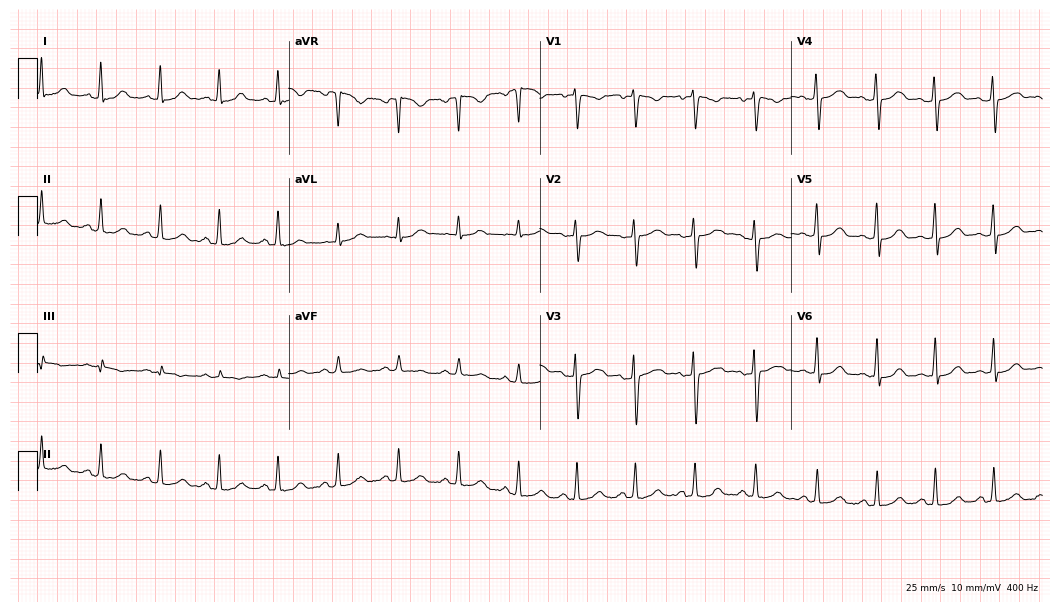
12-lead ECG from a female patient, 34 years old (10.2-second recording at 400 Hz). No first-degree AV block, right bundle branch block (RBBB), left bundle branch block (LBBB), sinus bradycardia, atrial fibrillation (AF) or sinus tachycardia recorded for this tracing.